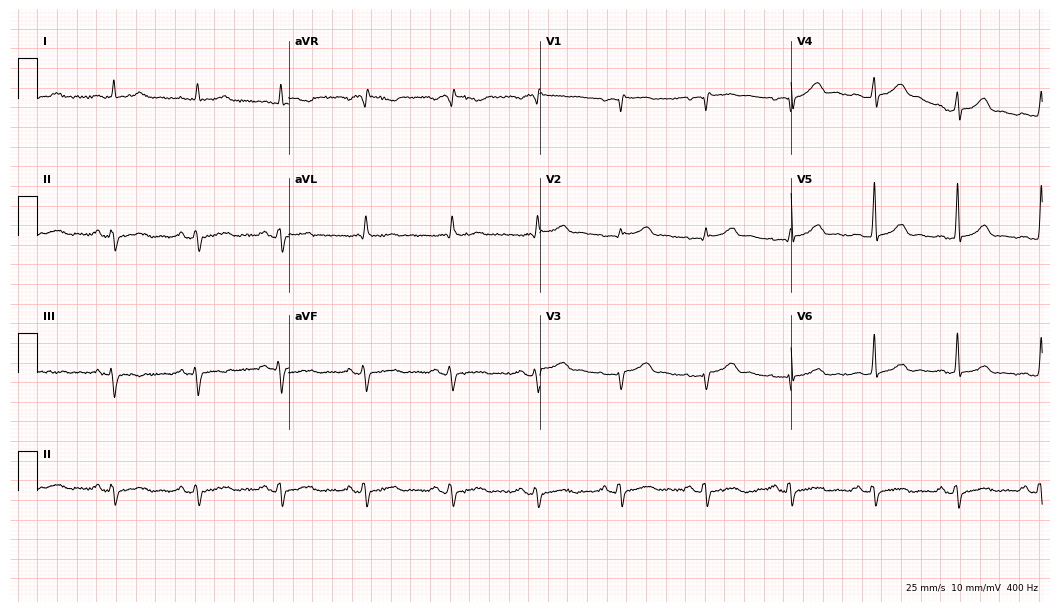
12-lead ECG from a 57-year-old man (10.2-second recording at 400 Hz). No first-degree AV block, right bundle branch block, left bundle branch block, sinus bradycardia, atrial fibrillation or sinus tachycardia recorded for this tracing.